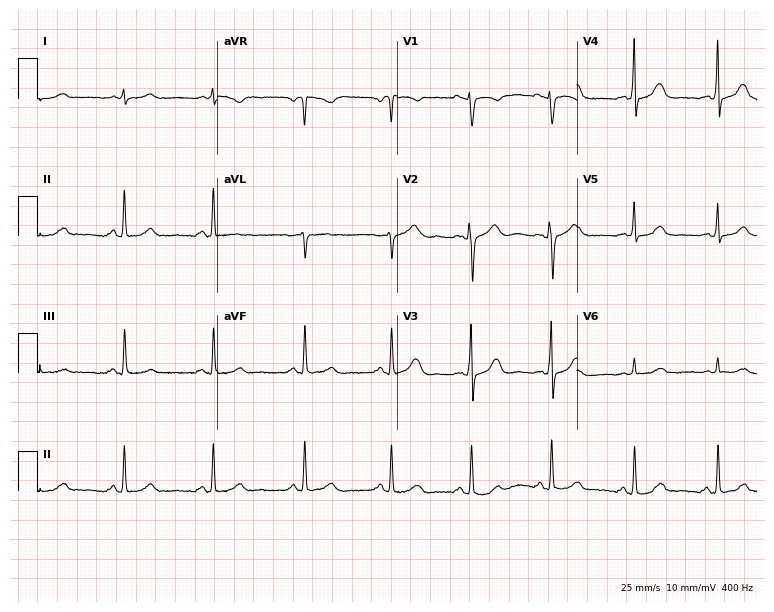
12-lead ECG from a 37-year-old female. No first-degree AV block, right bundle branch block, left bundle branch block, sinus bradycardia, atrial fibrillation or sinus tachycardia recorded for this tracing.